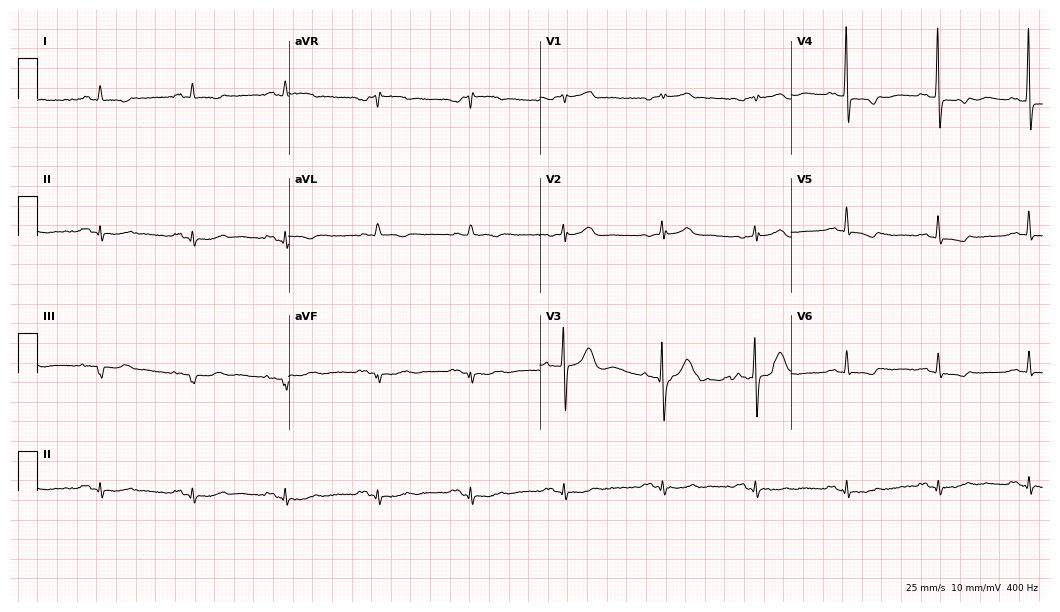
Standard 12-lead ECG recorded from a woman, 81 years old (10.2-second recording at 400 Hz). None of these six findings is recorded: first-degree AV block, right bundle branch block, left bundle branch block, sinus bradycardia, atrial fibrillation, sinus tachycardia. Only these six findings were labelled.